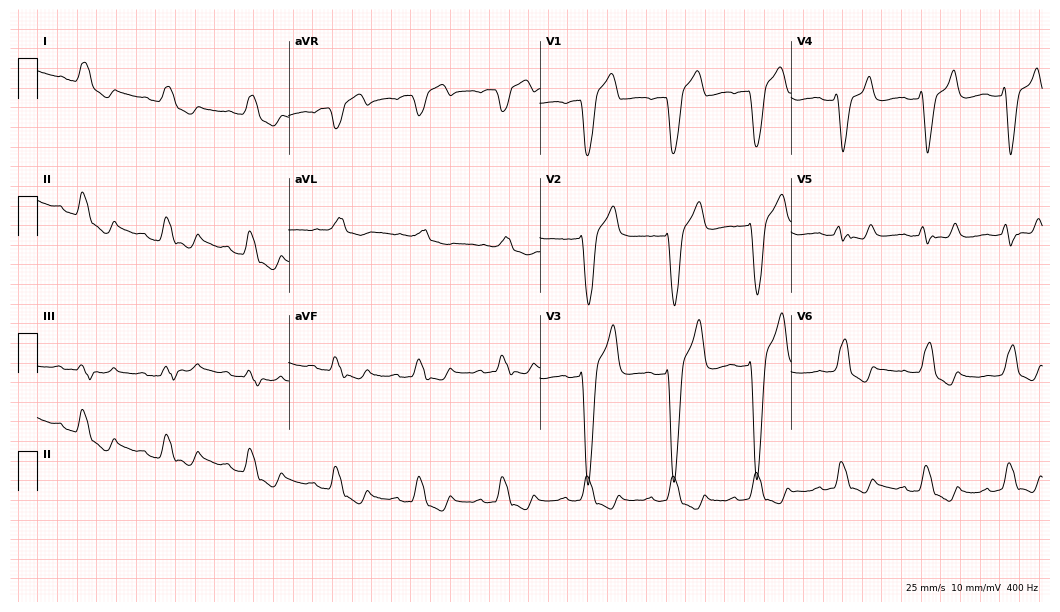
ECG — an 81-year-old male. Screened for six findings — first-degree AV block, right bundle branch block, left bundle branch block, sinus bradycardia, atrial fibrillation, sinus tachycardia — none is recorded. Only these six findings were labelled.